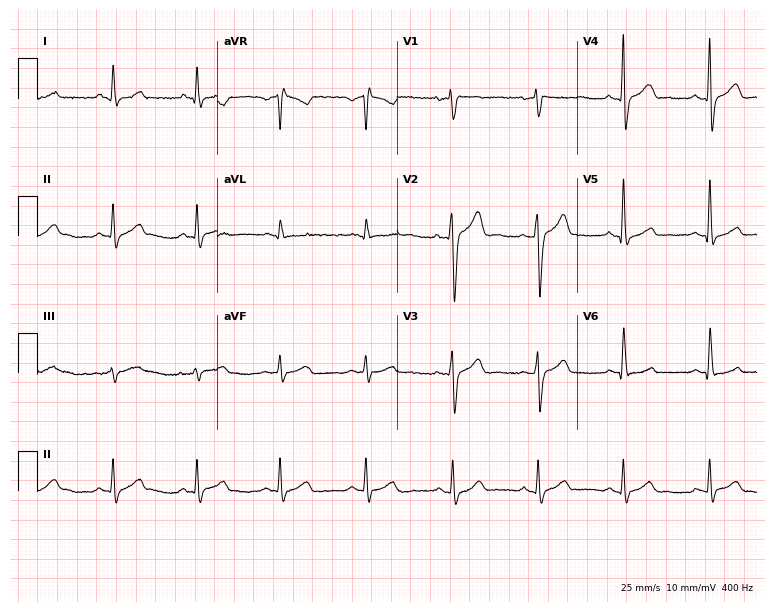
Standard 12-lead ECG recorded from a 39-year-old male patient (7.3-second recording at 400 Hz). Read as a normal ECG.